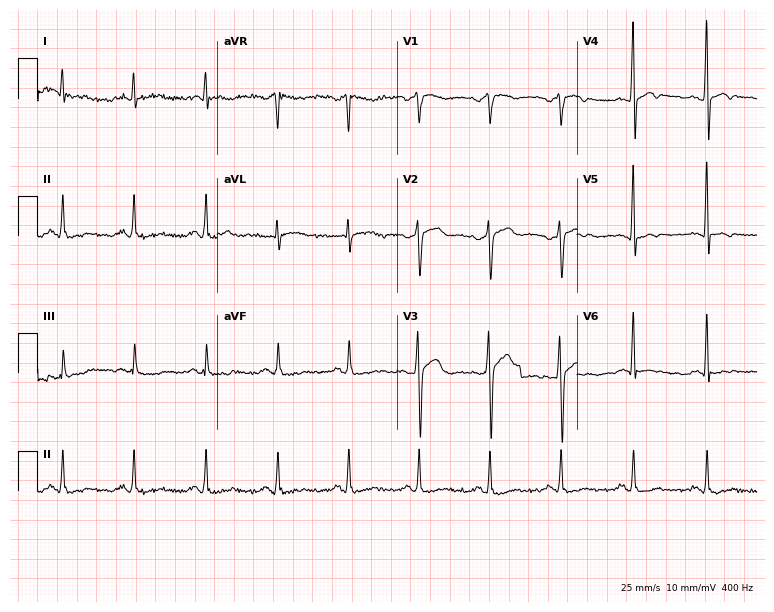
12-lead ECG from a 47-year-old male. No first-degree AV block, right bundle branch block, left bundle branch block, sinus bradycardia, atrial fibrillation or sinus tachycardia recorded for this tracing. Findings outside these six are not listed.